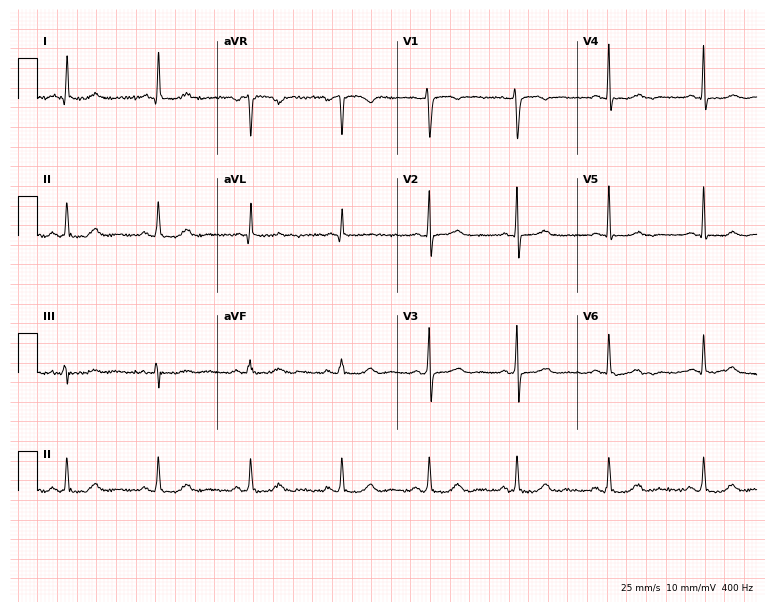
Electrocardiogram, a 55-year-old woman. Overall reading on record: normal ECG.